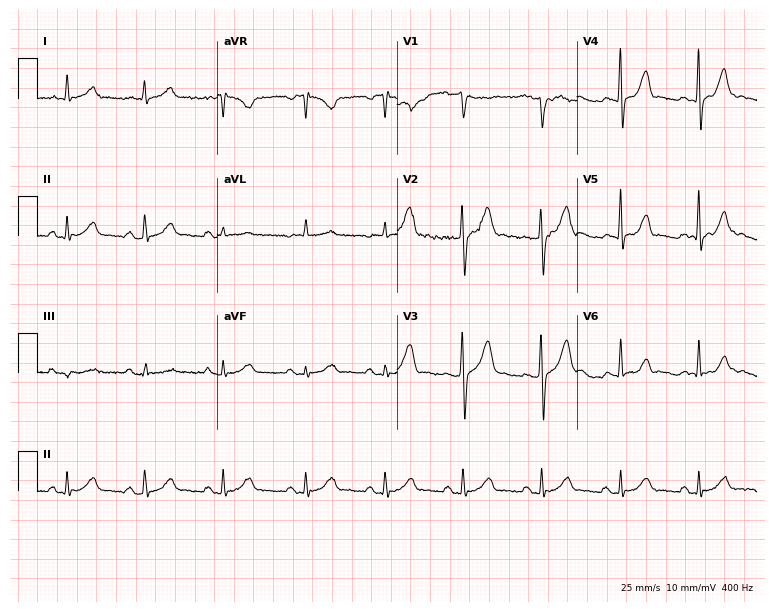
Electrocardiogram, a 45-year-old male patient. Overall reading on record: normal ECG.